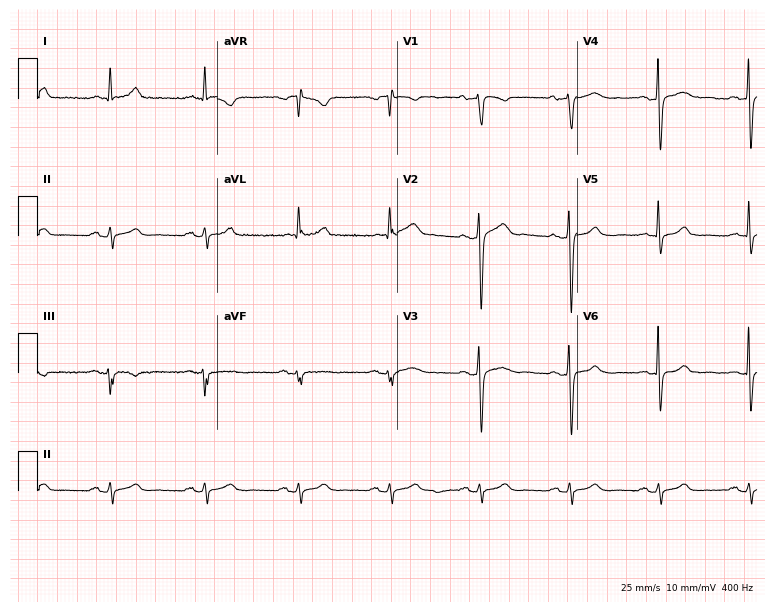
Standard 12-lead ECG recorded from a 59-year-old man (7.3-second recording at 400 Hz). None of these six findings is recorded: first-degree AV block, right bundle branch block, left bundle branch block, sinus bradycardia, atrial fibrillation, sinus tachycardia. Only these six findings were labelled.